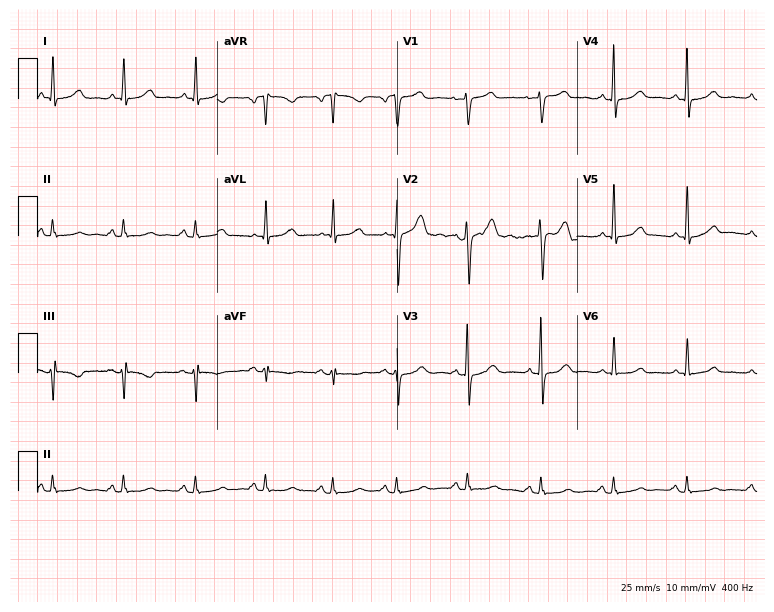
12-lead ECG (7.3-second recording at 400 Hz) from a 64-year-old woman. Labelled as a normal ECG.